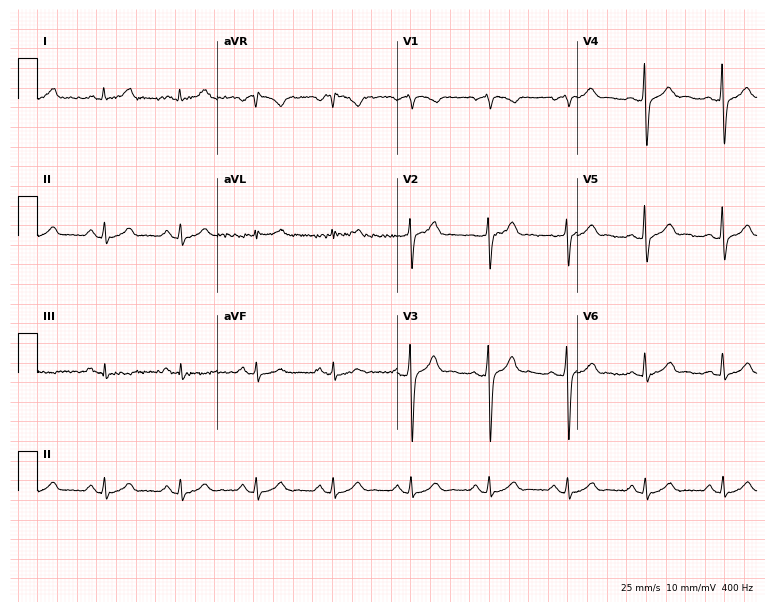
ECG — a female, 57 years old. Labelled as a normal ECG.